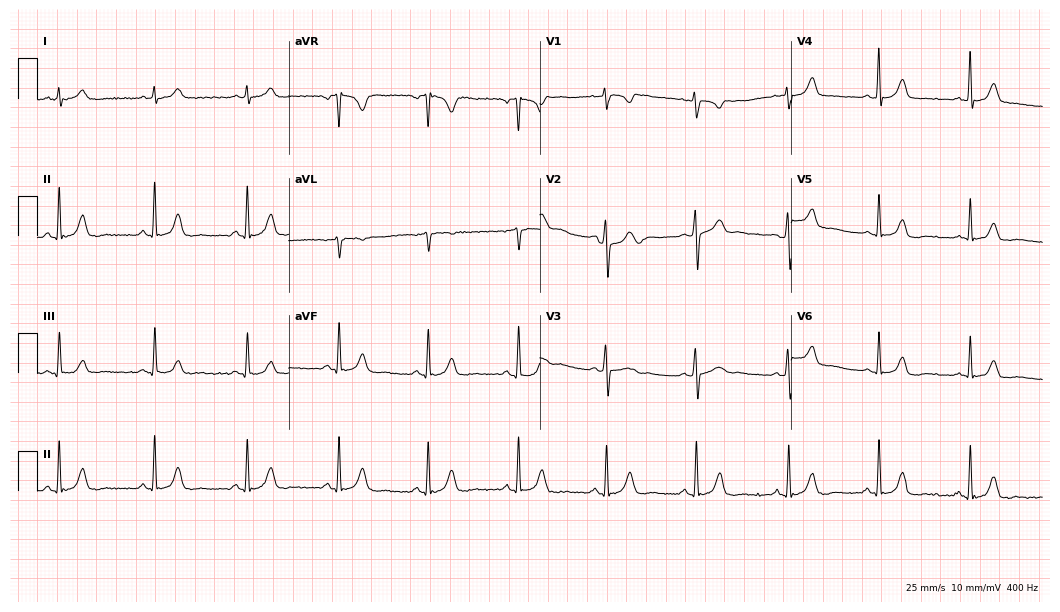
Resting 12-lead electrocardiogram (10.2-second recording at 400 Hz). Patient: a woman, 31 years old. Read as a normal ECG.